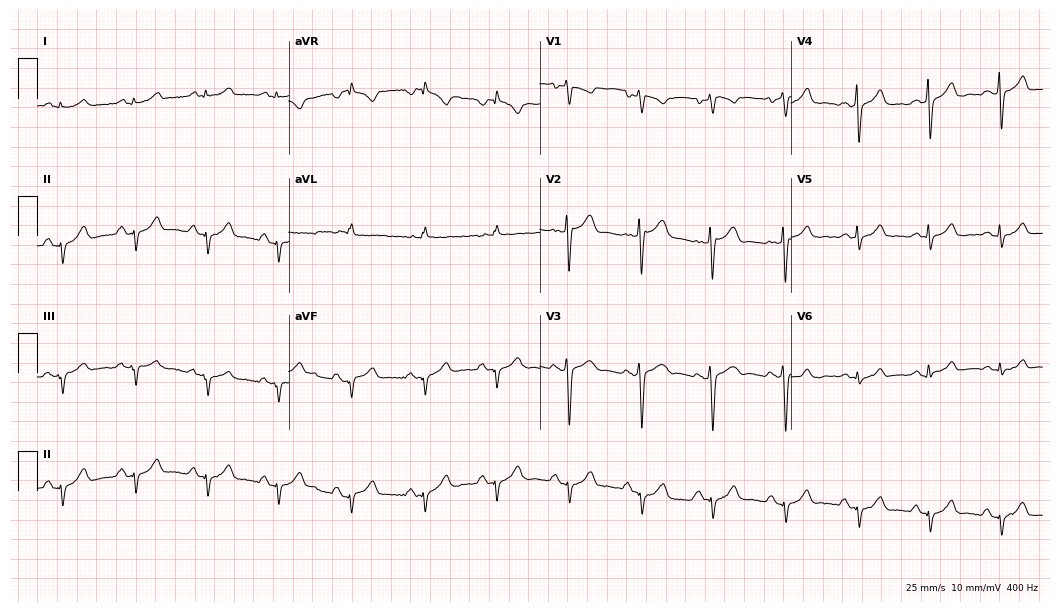
12-lead ECG from a male, 40 years old. No first-degree AV block, right bundle branch block, left bundle branch block, sinus bradycardia, atrial fibrillation or sinus tachycardia recorded for this tracing. Other findings, if any, are not listed.